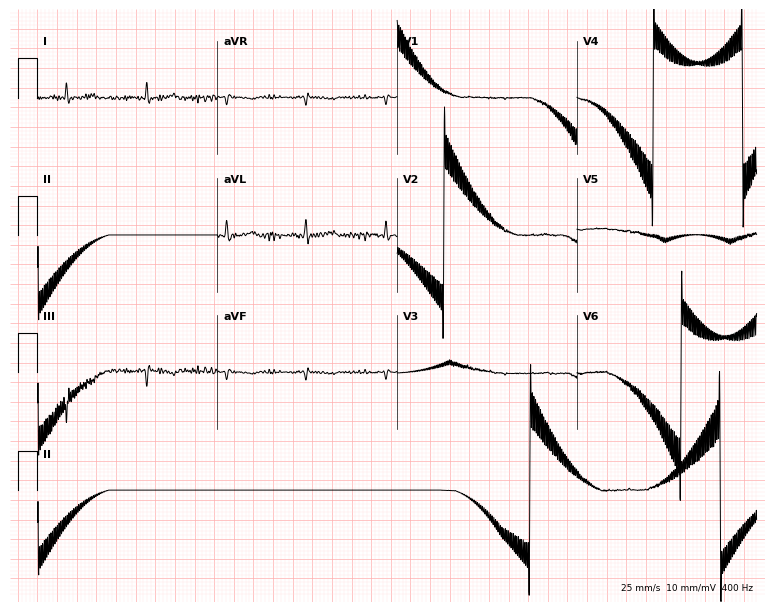
ECG (7.3-second recording at 400 Hz) — a male patient, 77 years old. Screened for six findings — first-degree AV block, right bundle branch block (RBBB), left bundle branch block (LBBB), sinus bradycardia, atrial fibrillation (AF), sinus tachycardia — none is recorded. Other findings, if any, are not listed.